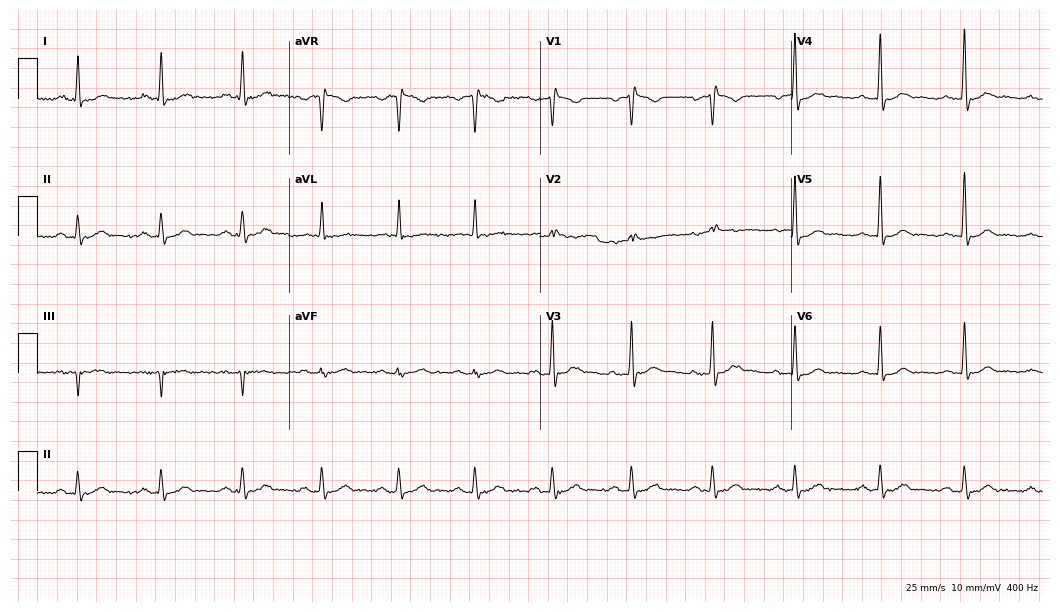
12-lead ECG (10.2-second recording at 400 Hz) from a 59-year-old male patient. Screened for six findings — first-degree AV block, right bundle branch block, left bundle branch block, sinus bradycardia, atrial fibrillation, sinus tachycardia — none is recorded. Other findings, if any, are not listed.